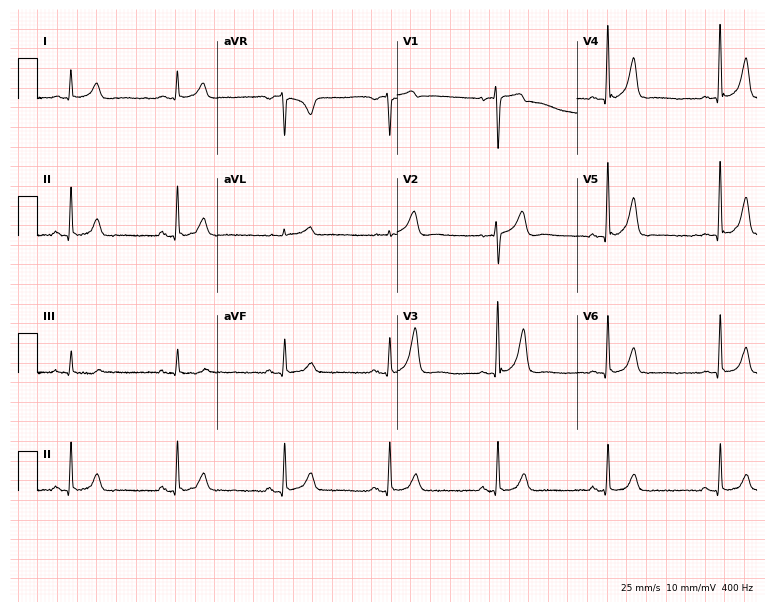
Standard 12-lead ECG recorded from a male, 61 years old (7.3-second recording at 400 Hz). None of these six findings is recorded: first-degree AV block, right bundle branch block, left bundle branch block, sinus bradycardia, atrial fibrillation, sinus tachycardia. Other findings, if any, are not listed.